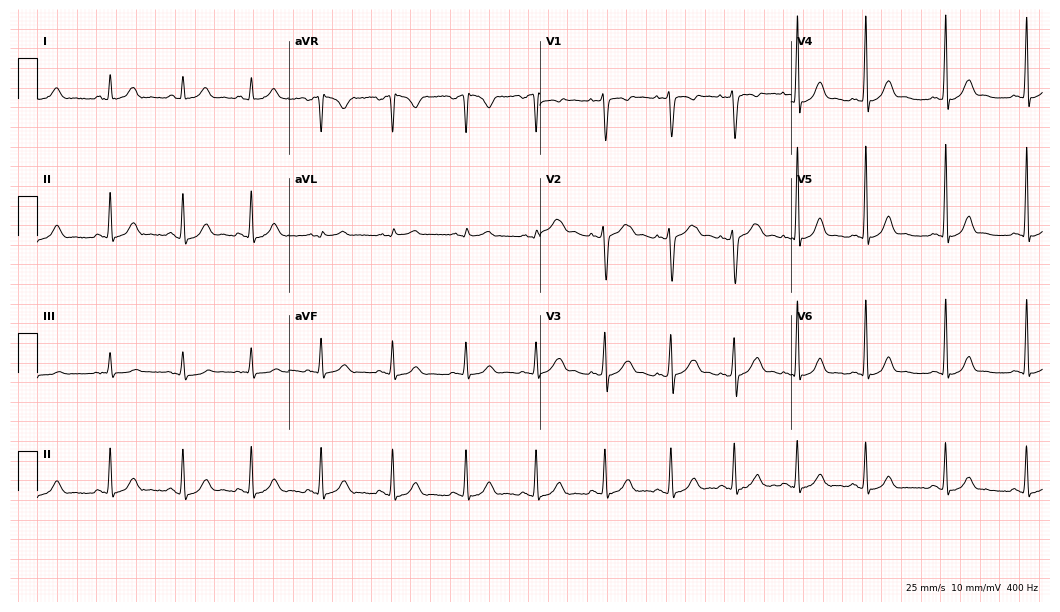
12-lead ECG from a female, 29 years old (10.2-second recording at 400 Hz). Recorded interpretation: within normal limits.